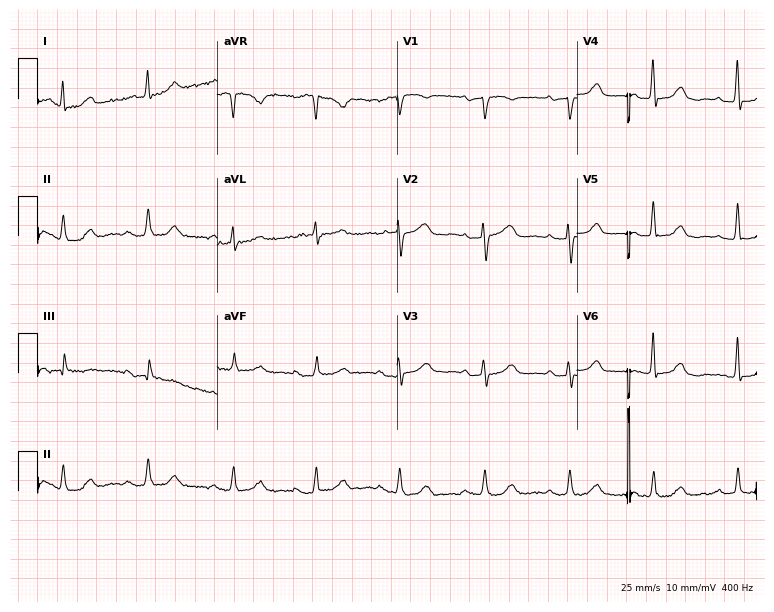
Standard 12-lead ECG recorded from a 71-year-old woman (7.3-second recording at 400 Hz). None of these six findings is recorded: first-degree AV block, right bundle branch block, left bundle branch block, sinus bradycardia, atrial fibrillation, sinus tachycardia.